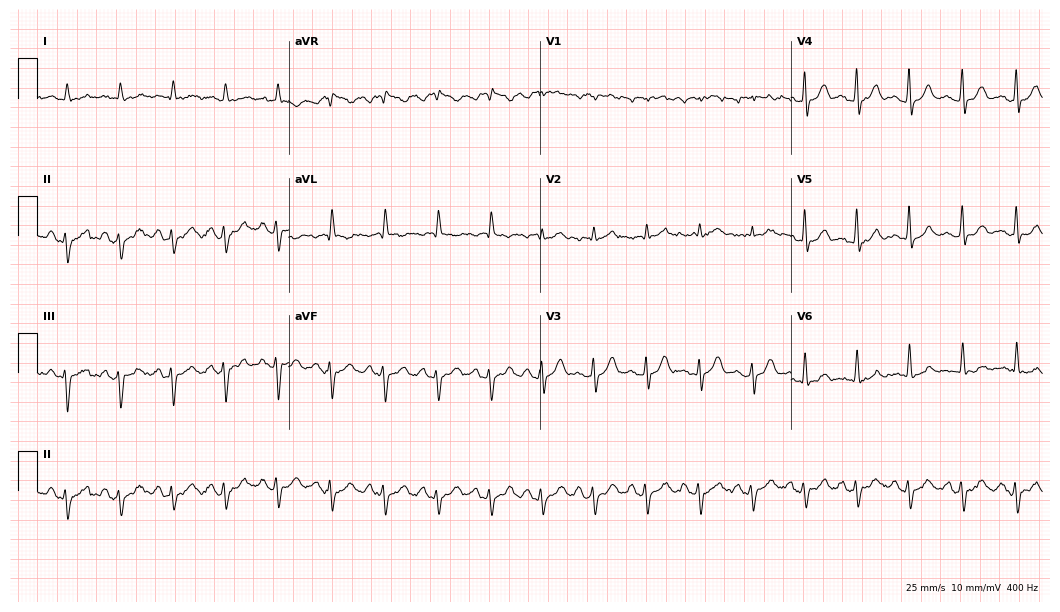
Resting 12-lead electrocardiogram (10.2-second recording at 400 Hz). Patient: a man, 72 years old. The tracing shows sinus tachycardia (a sinus rate of 100 beats per minute or more).